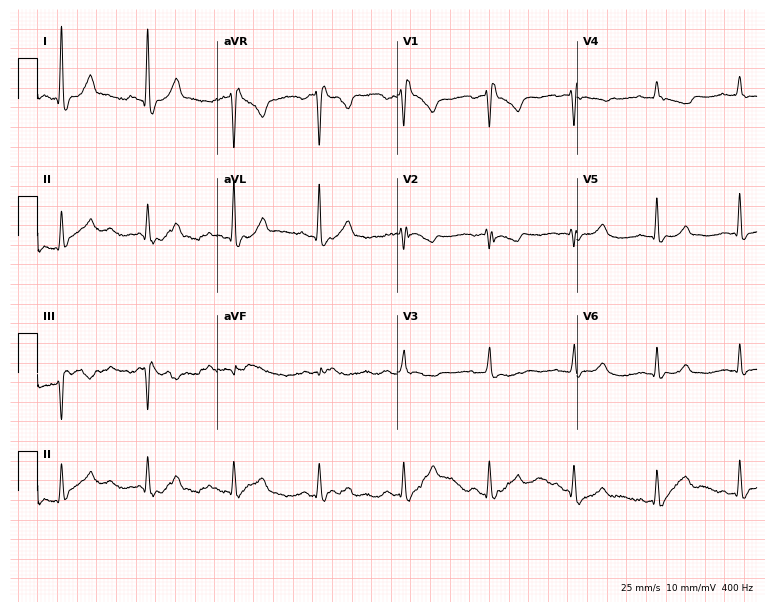
Standard 12-lead ECG recorded from a female patient, 60 years old (7.3-second recording at 400 Hz). None of these six findings is recorded: first-degree AV block, right bundle branch block (RBBB), left bundle branch block (LBBB), sinus bradycardia, atrial fibrillation (AF), sinus tachycardia.